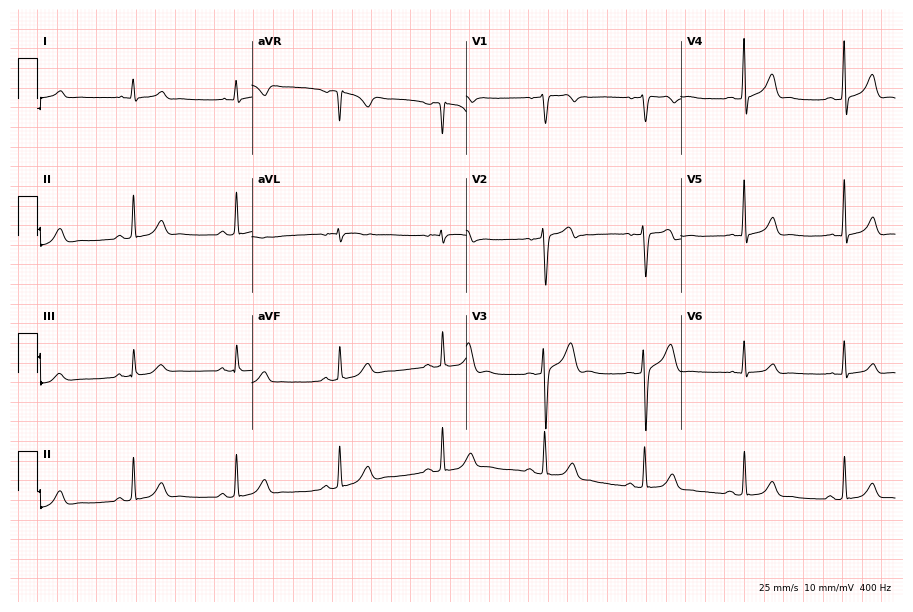
Resting 12-lead electrocardiogram (8.7-second recording at 400 Hz). Patient: a 37-year-old male. Read as a normal ECG.